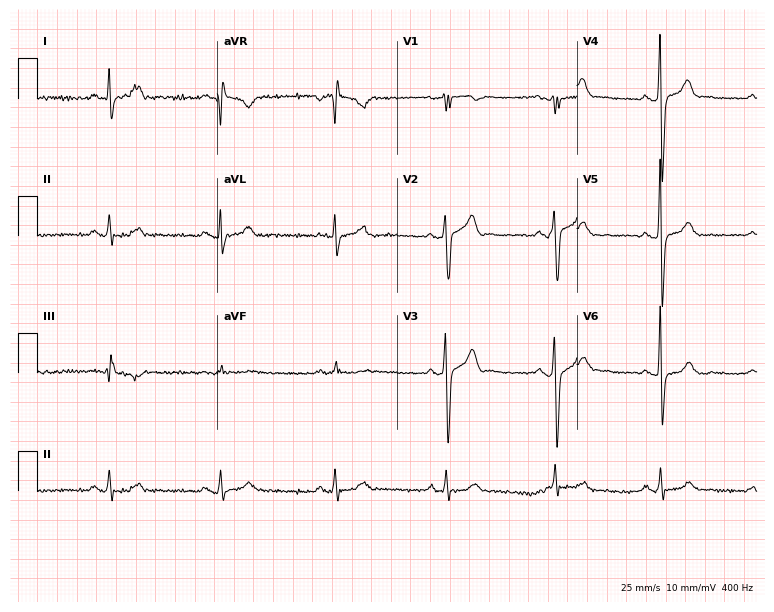
Standard 12-lead ECG recorded from a 44-year-old man (7.3-second recording at 400 Hz). None of these six findings is recorded: first-degree AV block, right bundle branch block (RBBB), left bundle branch block (LBBB), sinus bradycardia, atrial fibrillation (AF), sinus tachycardia. Only these six findings were labelled.